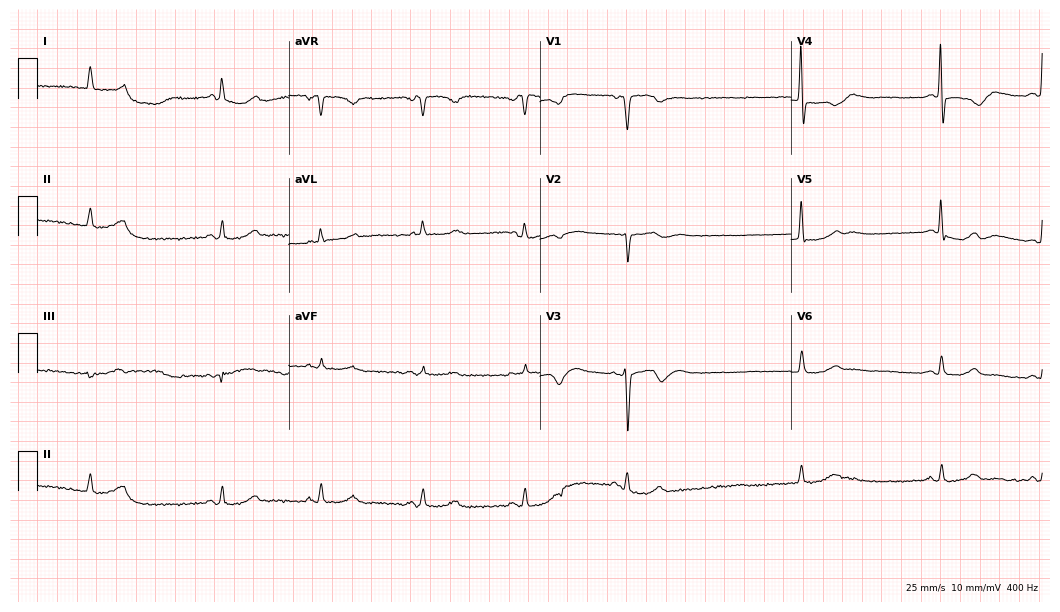
Standard 12-lead ECG recorded from a female, 76 years old. None of these six findings is recorded: first-degree AV block, right bundle branch block (RBBB), left bundle branch block (LBBB), sinus bradycardia, atrial fibrillation (AF), sinus tachycardia. Other findings, if any, are not listed.